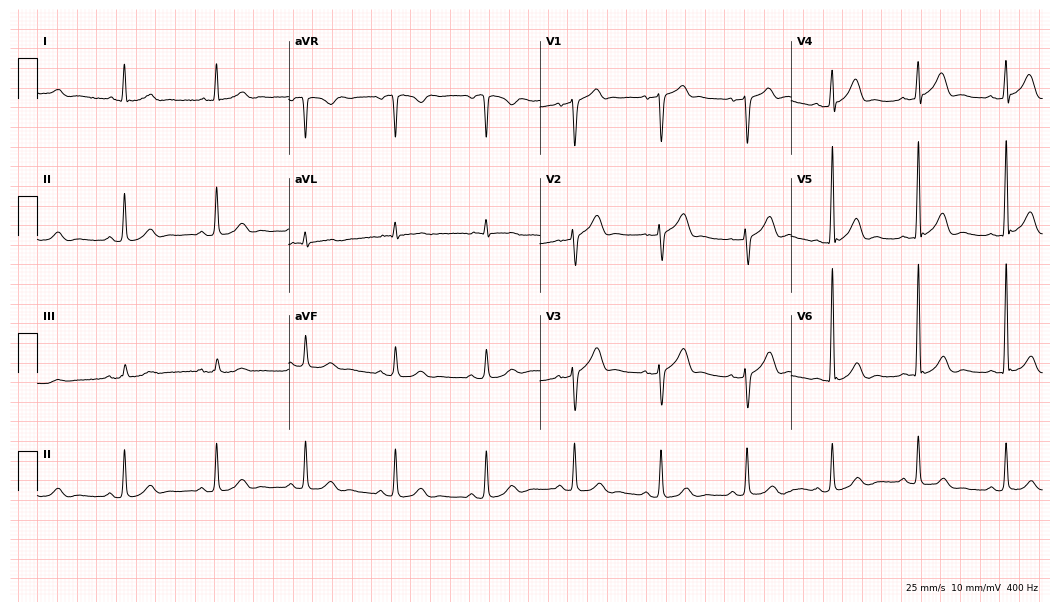
Electrocardiogram (10.2-second recording at 400 Hz), a female patient, 60 years old. Overall reading on record: normal ECG.